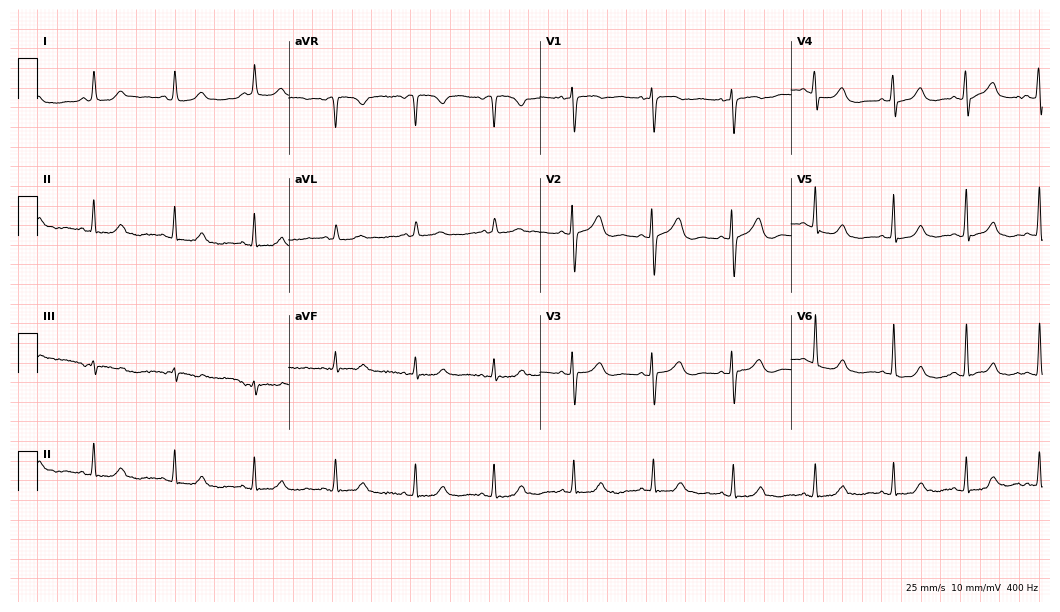
12-lead ECG from a female, 65 years old. No first-degree AV block, right bundle branch block (RBBB), left bundle branch block (LBBB), sinus bradycardia, atrial fibrillation (AF) or sinus tachycardia recorded for this tracing.